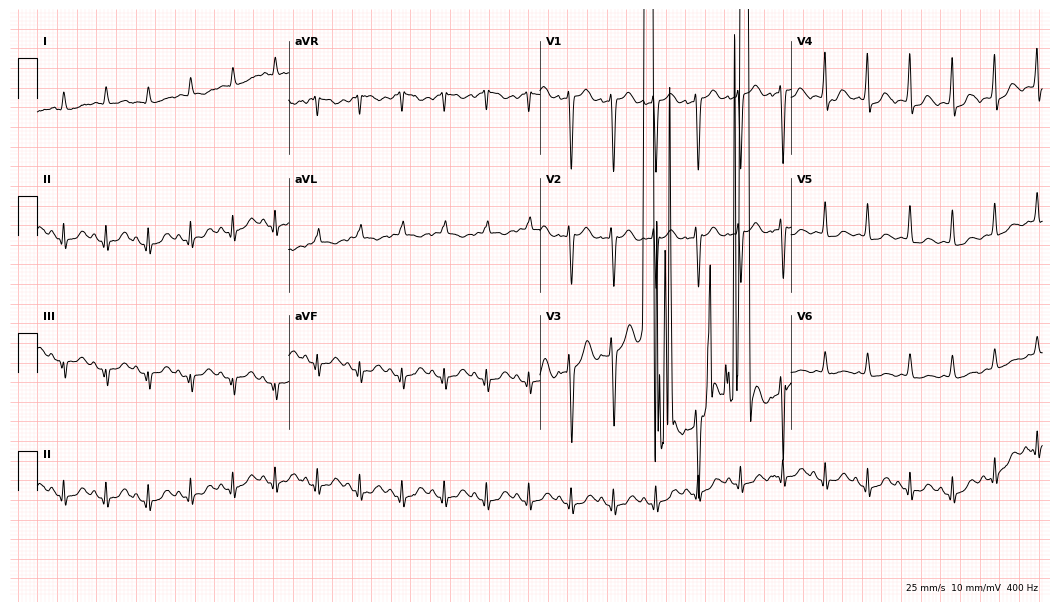
Resting 12-lead electrocardiogram. Patient: a man, 79 years old. None of these six findings is recorded: first-degree AV block, right bundle branch block, left bundle branch block, sinus bradycardia, atrial fibrillation, sinus tachycardia. Other findings, if any, are not listed.